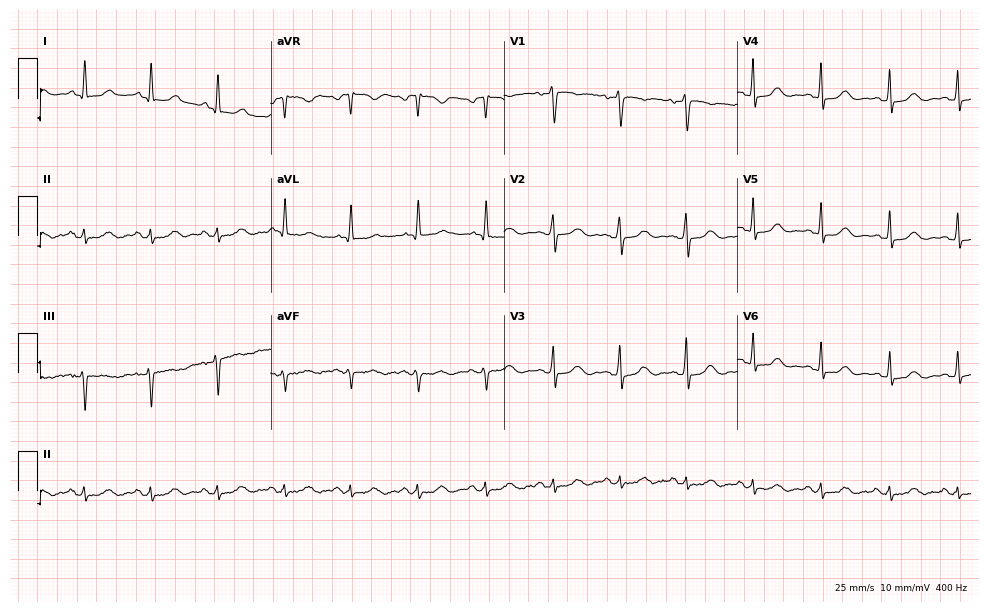
12-lead ECG from a 60-year-old female. Recorded interpretation: within normal limits.